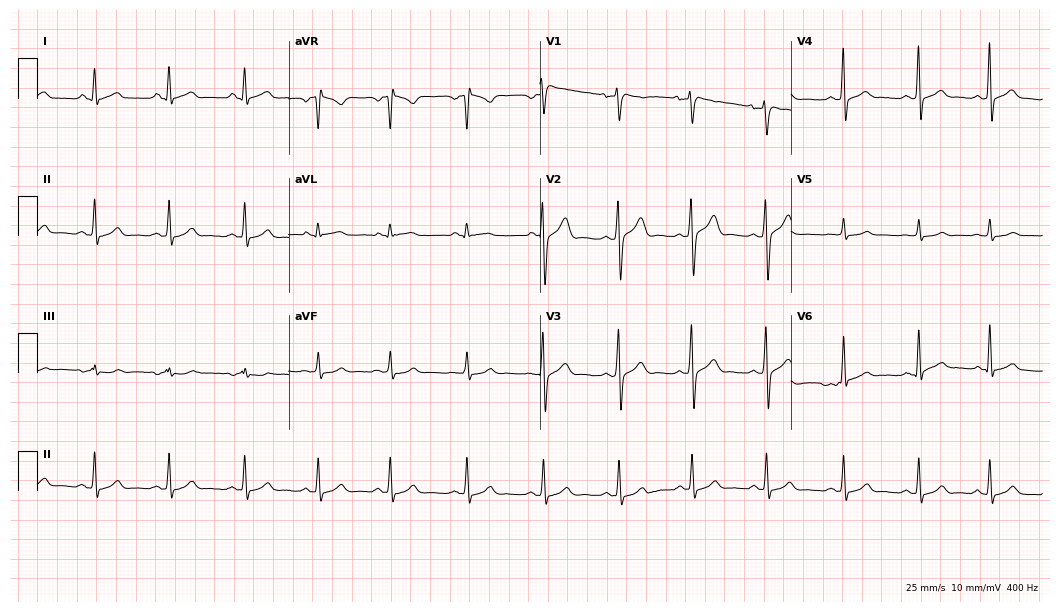
ECG — a male patient, 27 years old. Screened for six findings — first-degree AV block, right bundle branch block (RBBB), left bundle branch block (LBBB), sinus bradycardia, atrial fibrillation (AF), sinus tachycardia — none is recorded.